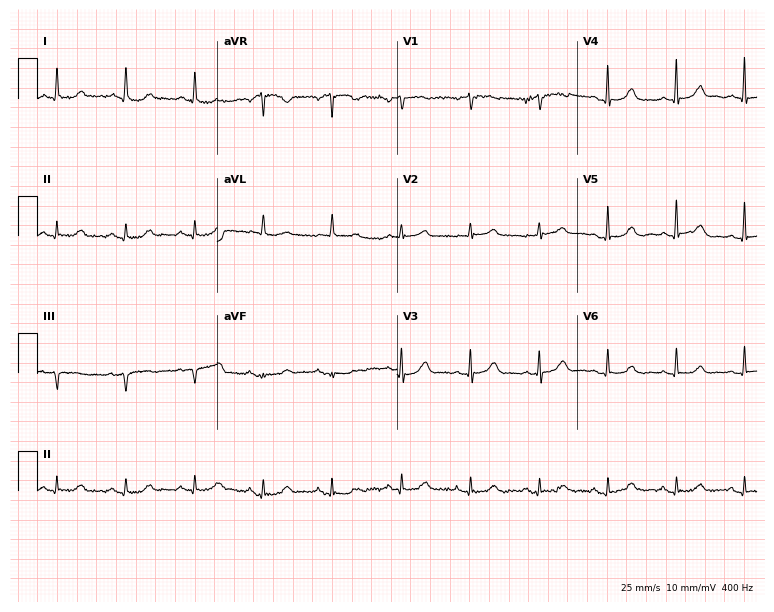
Standard 12-lead ECG recorded from a 62-year-old woman (7.3-second recording at 400 Hz). Read as a normal ECG.